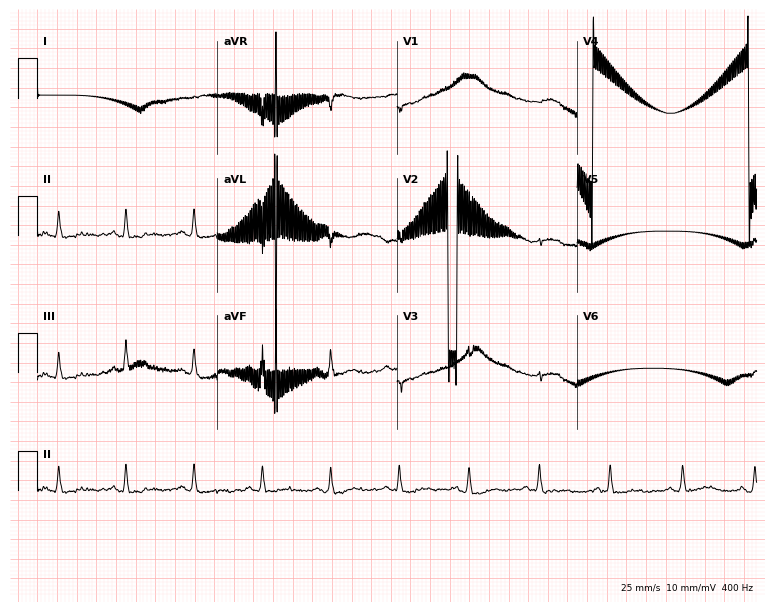
12-lead ECG from a female patient, 53 years old (7.3-second recording at 400 Hz). No first-degree AV block, right bundle branch block, left bundle branch block, sinus bradycardia, atrial fibrillation or sinus tachycardia recorded for this tracing.